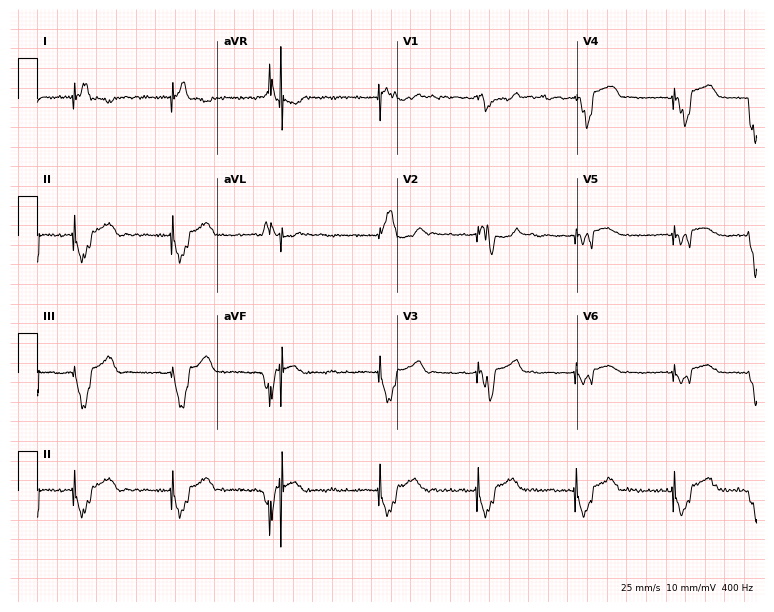
Standard 12-lead ECG recorded from a female patient, 62 years old (7.3-second recording at 400 Hz). None of these six findings is recorded: first-degree AV block, right bundle branch block (RBBB), left bundle branch block (LBBB), sinus bradycardia, atrial fibrillation (AF), sinus tachycardia. Only these six findings were labelled.